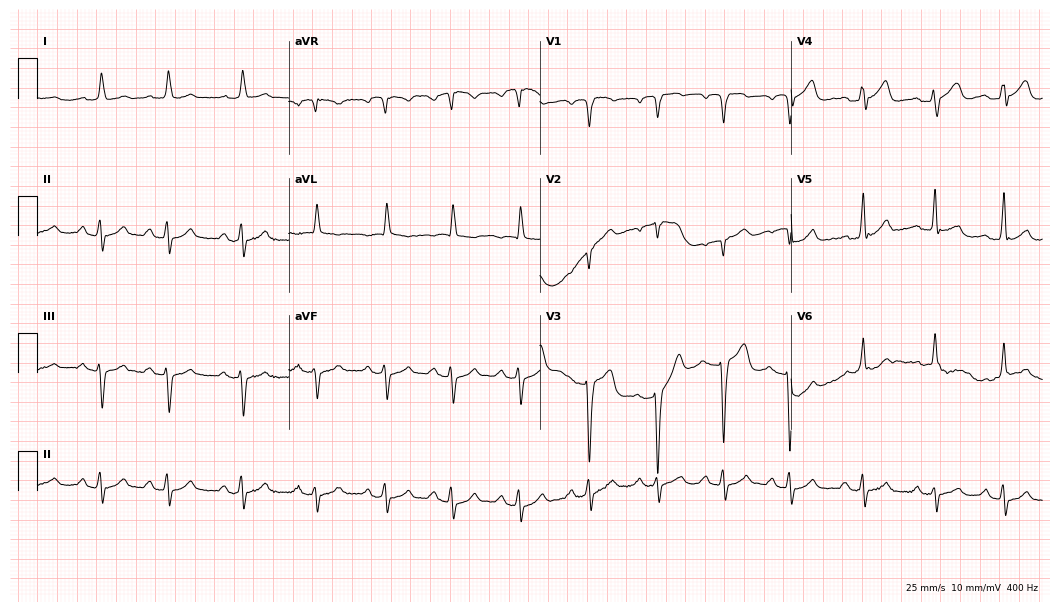
Resting 12-lead electrocardiogram (10.2-second recording at 400 Hz). Patient: a male, 83 years old. None of these six findings is recorded: first-degree AV block, right bundle branch block, left bundle branch block, sinus bradycardia, atrial fibrillation, sinus tachycardia.